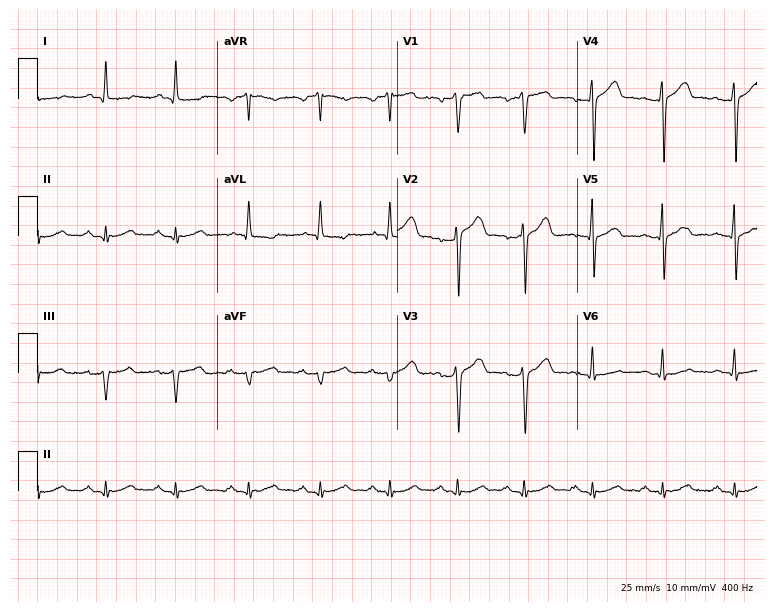
ECG (7.3-second recording at 400 Hz) — a male, 53 years old. Screened for six findings — first-degree AV block, right bundle branch block, left bundle branch block, sinus bradycardia, atrial fibrillation, sinus tachycardia — none is recorded.